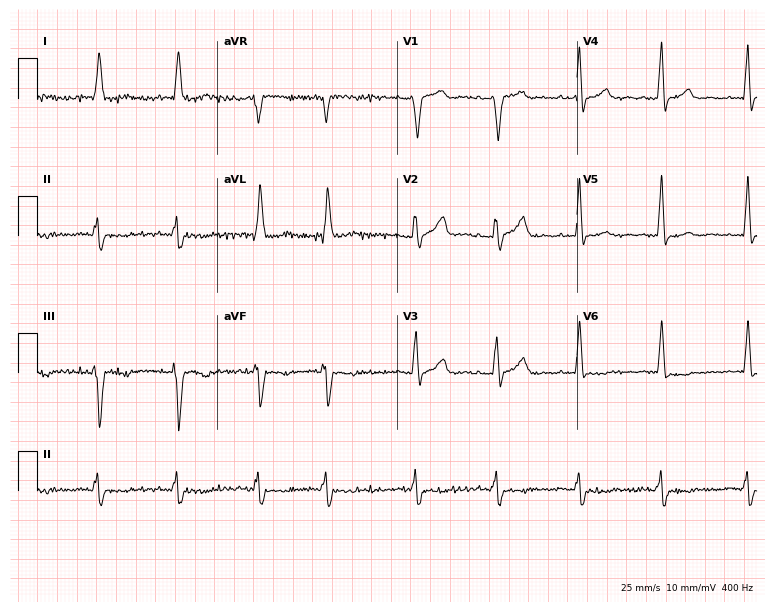
12-lead ECG from a male, 71 years old. Screened for six findings — first-degree AV block, right bundle branch block, left bundle branch block, sinus bradycardia, atrial fibrillation, sinus tachycardia — none is recorded.